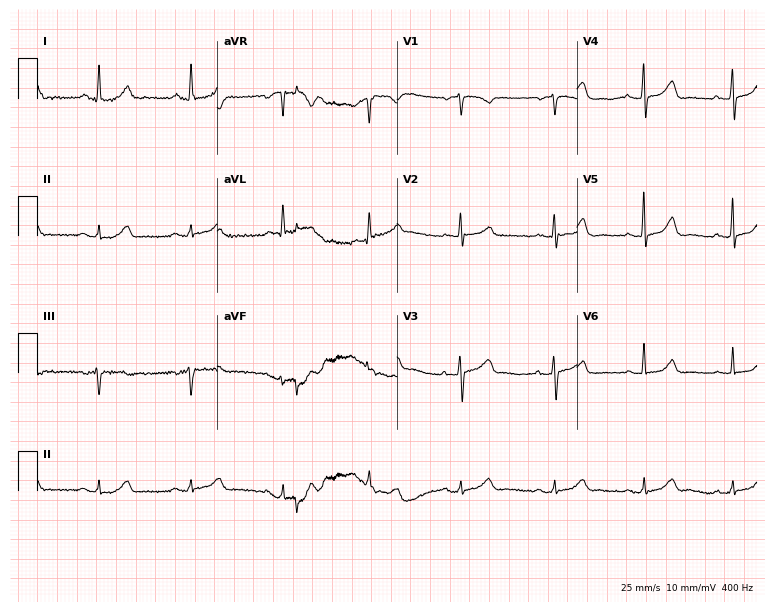
12-lead ECG from a 75-year-old female patient (7.3-second recording at 400 Hz). Recorded interpretation: within normal limits.